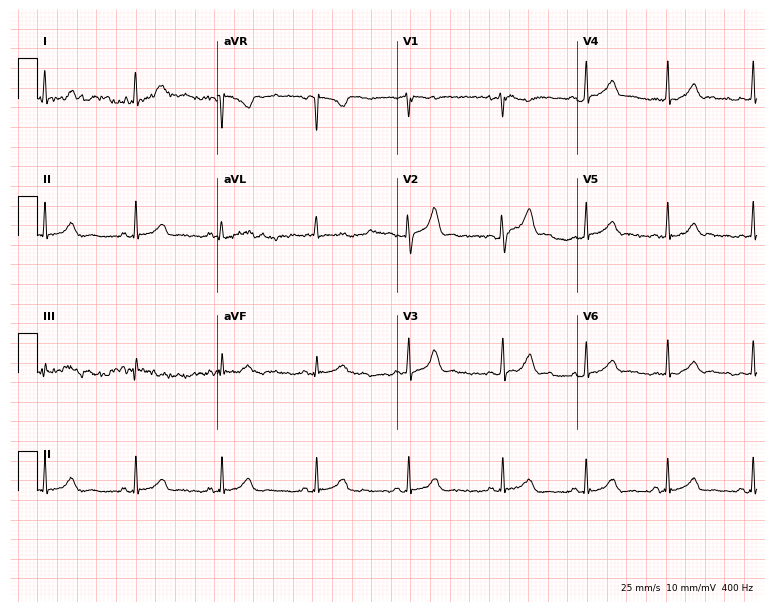
ECG (7.3-second recording at 400 Hz) — a woman, 25 years old. Labelled as a normal ECG.